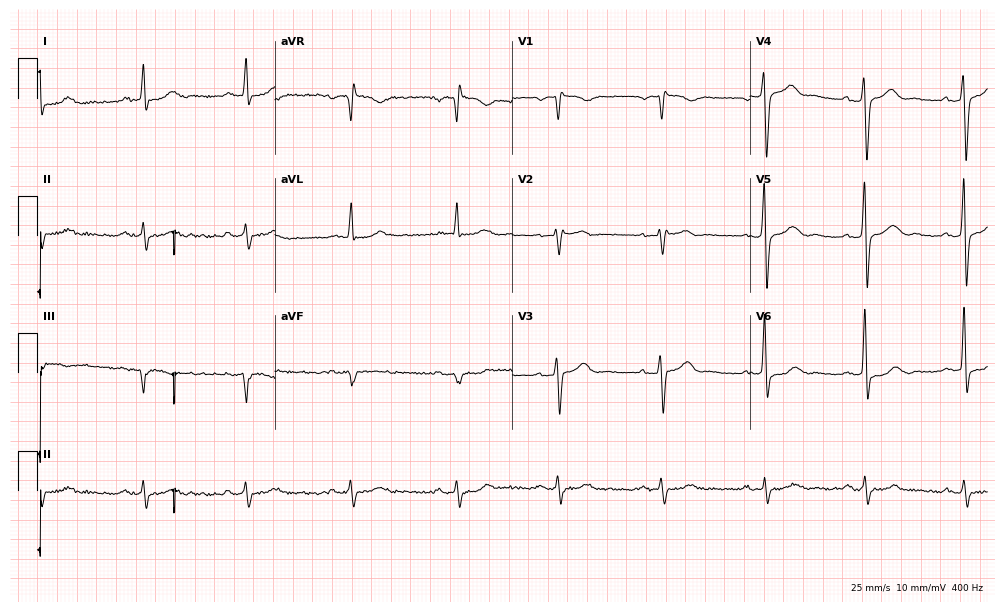
Standard 12-lead ECG recorded from a male, 60 years old. None of these six findings is recorded: first-degree AV block, right bundle branch block, left bundle branch block, sinus bradycardia, atrial fibrillation, sinus tachycardia.